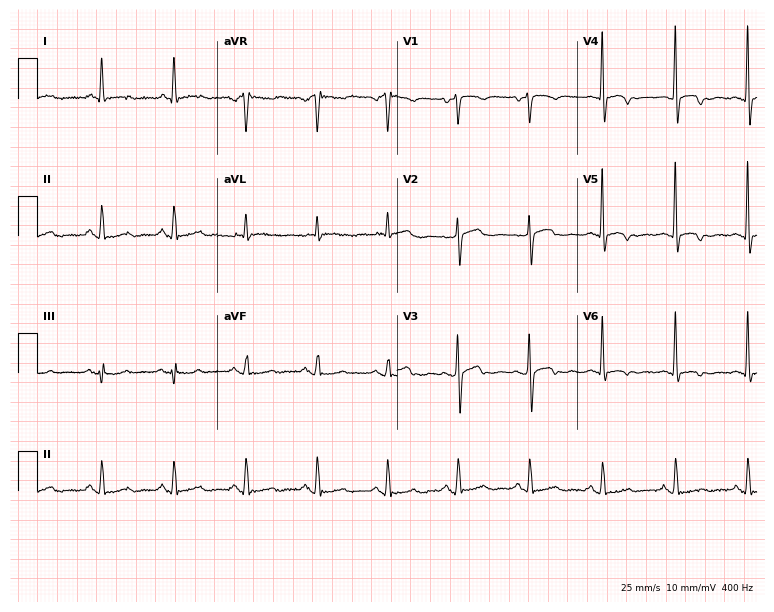
Standard 12-lead ECG recorded from a 79-year-old man (7.3-second recording at 400 Hz). None of these six findings is recorded: first-degree AV block, right bundle branch block, left bundle branch block, sinus bradycardia, atrial fibrillation, sinus tachycardia. Other findings, if any, are not listed.